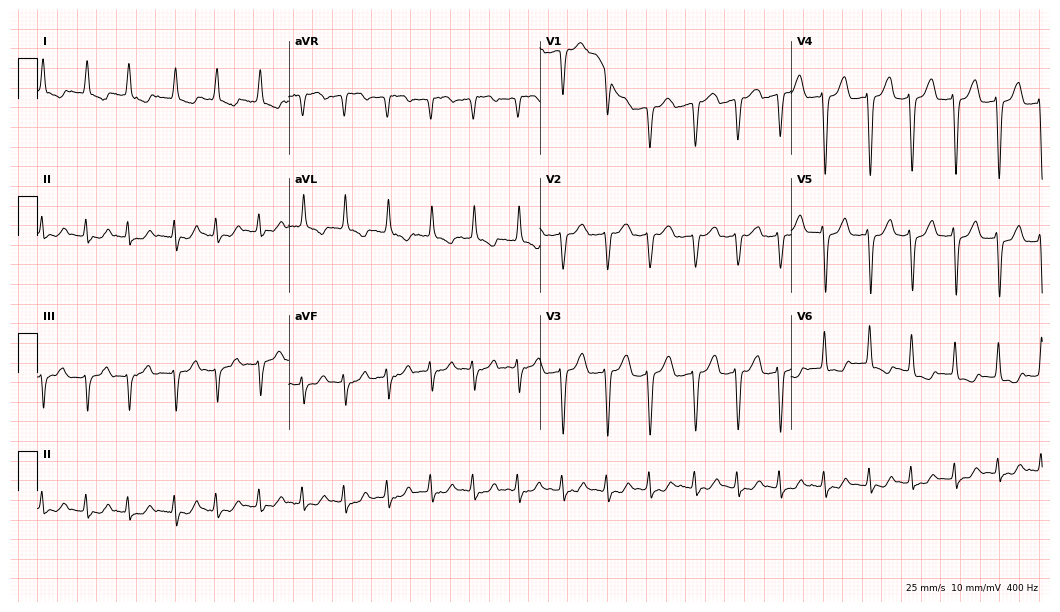
Electrocardiogram (10.2-second recording at 400 Hz), an 85-year-old female. Interpretation includes atrial fibrillation, sinus tachycardia (a sinus rate of 100 beats per minute or more).